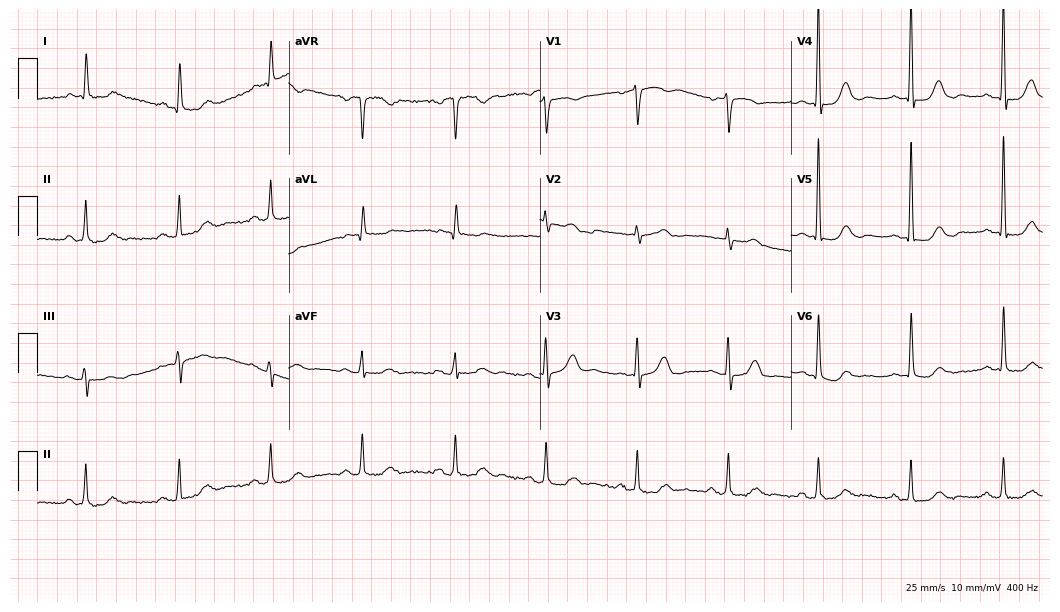
12-lead ECG from a 75-year-old female patient. Recorded interpretation: within normal limits.